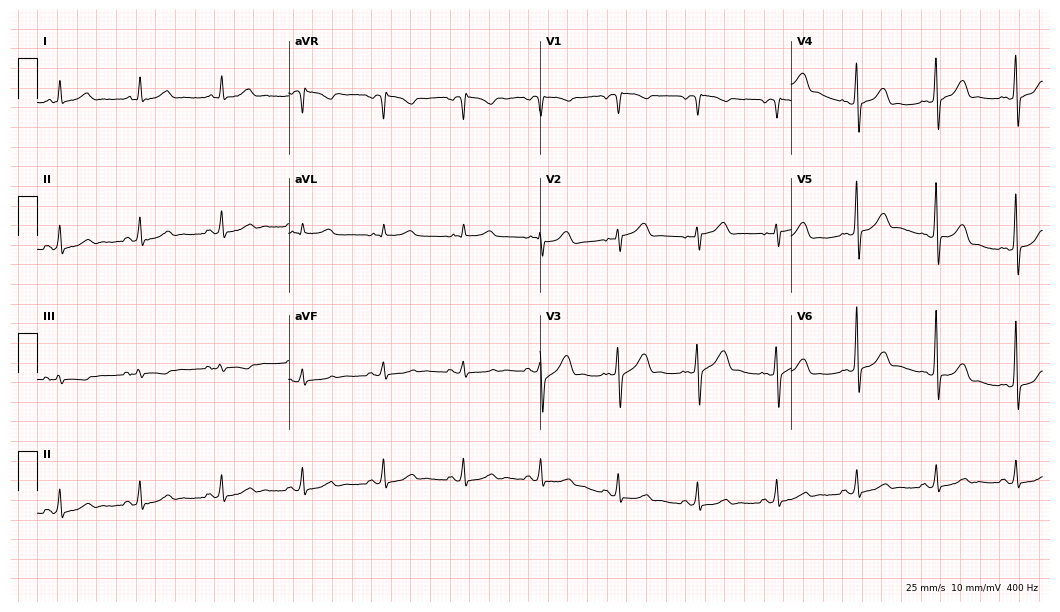
Resting 12-lead electrocardiogram (10.2-second recording at 400 Hz). Patient: a 37-year-old female. Read as a normal ECG.